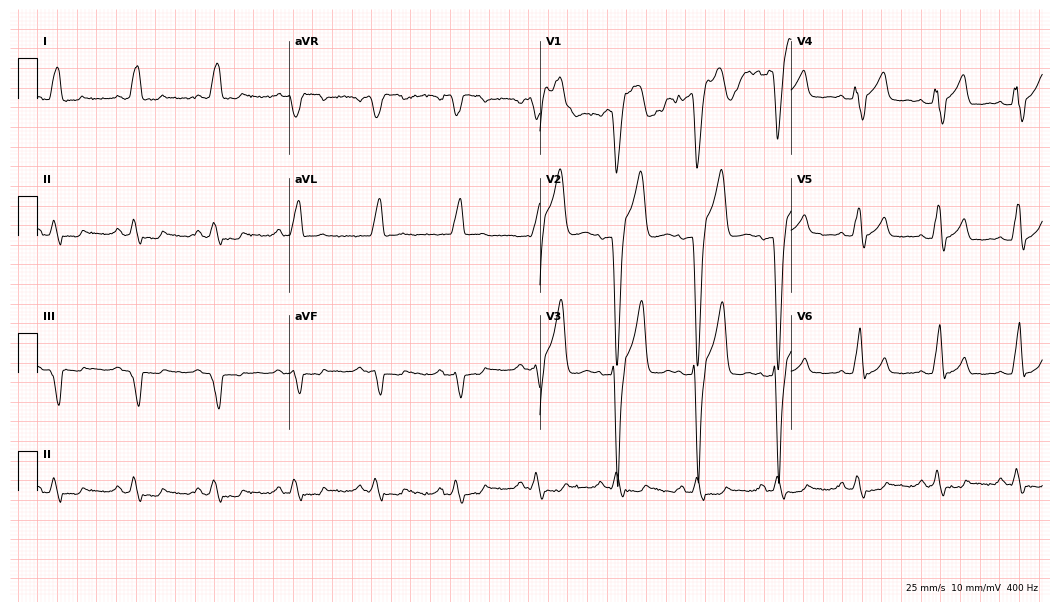
12-lead ECG from an 84-year-old male patient. Shows left bundle branch block (LBBB).